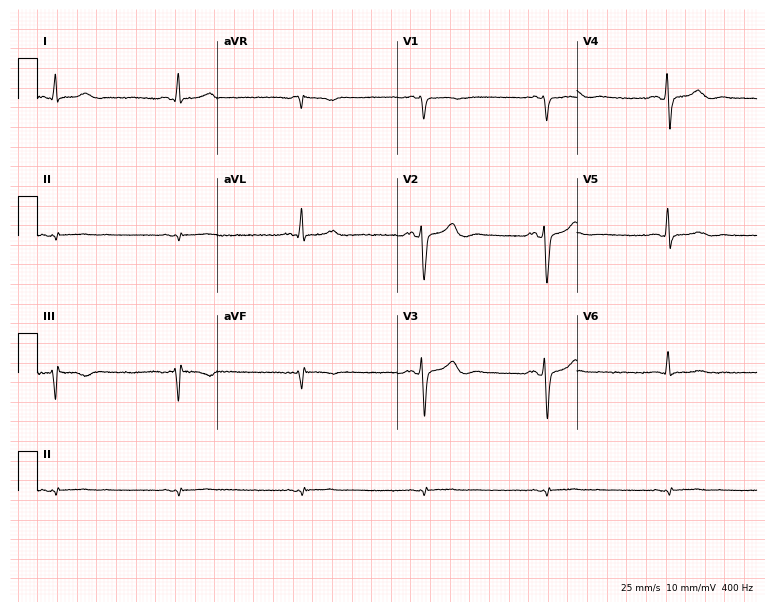
12-lead ECG from a male, 47 years old. Screened for six findings — first-degree AV block, right bundle branch block, left bundle branch block, sinus bradycardia, atrial fibrillation, sinus tachycardia — none is recorded. Findings outside these six are not listed.